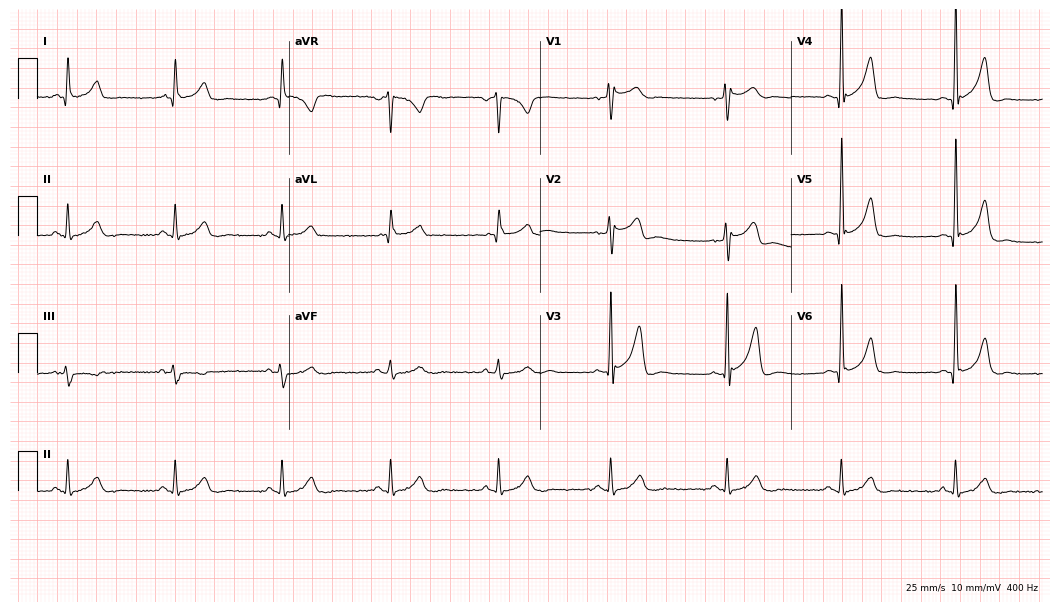
ECG (10.2-second recording at 400 Hz) — a man, 45 years old. Labelled as a normal ECG.